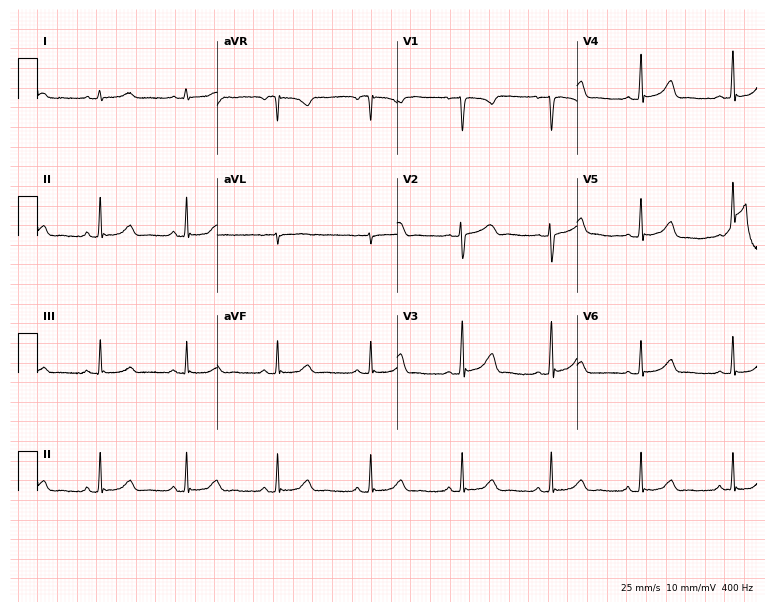
ECG — a 32-year-old woman. Labelled as a normal ECG.